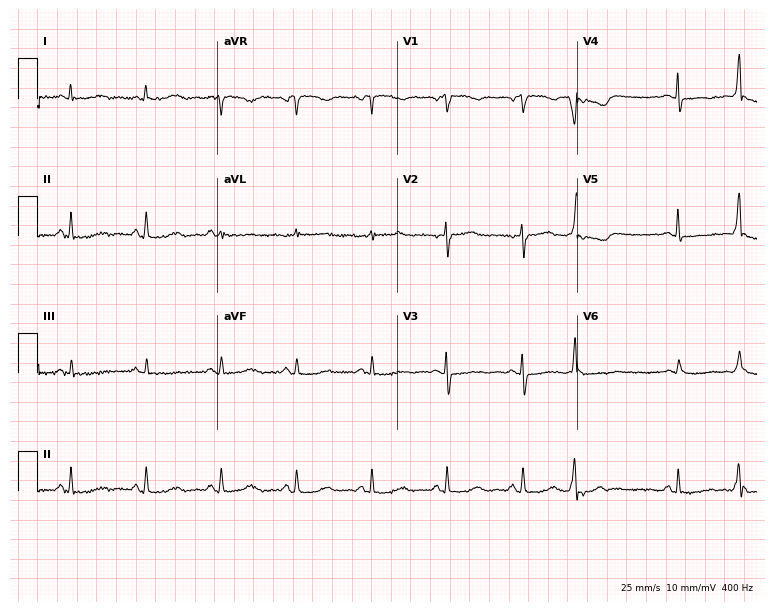
12-lead ECG from a female patient, 65 years old. Screened for six findings — first-degree AV block, right bundle branch block, left bundle branch block, sinus bradycardia, atrial fibrillation, sinus tachycardia — none is recorded.